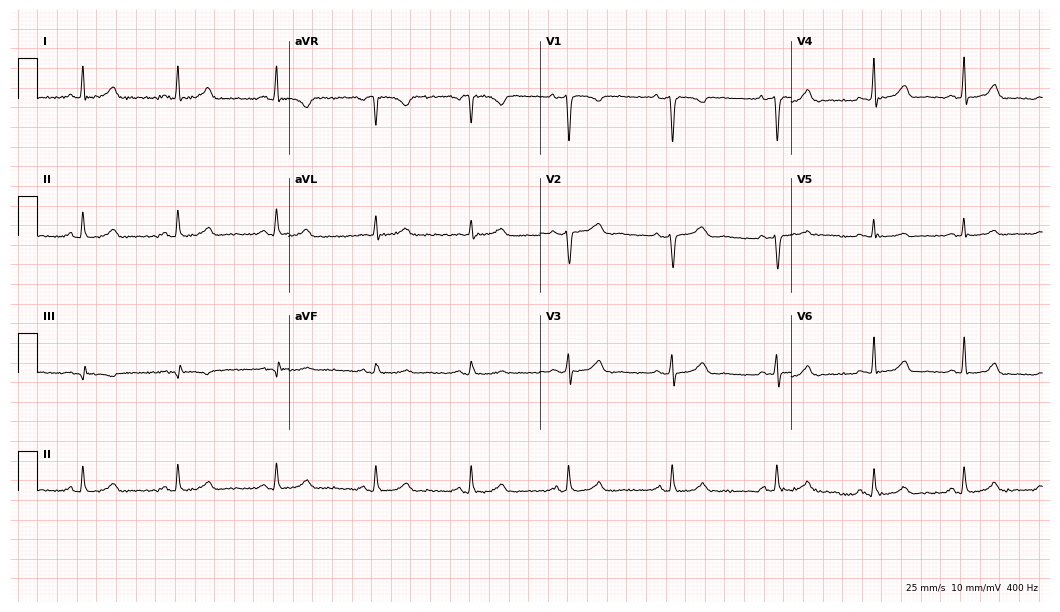
Resting 12-lead electrocardiogram. Patient: a female, 43 years old. None of these six findings is recorded: first-degree AV block, right bundle branch block, left bundle branch block, sinus bradycardia, atrial fibrillation, sinus tachycardia. Other findings, if any, are not listed.